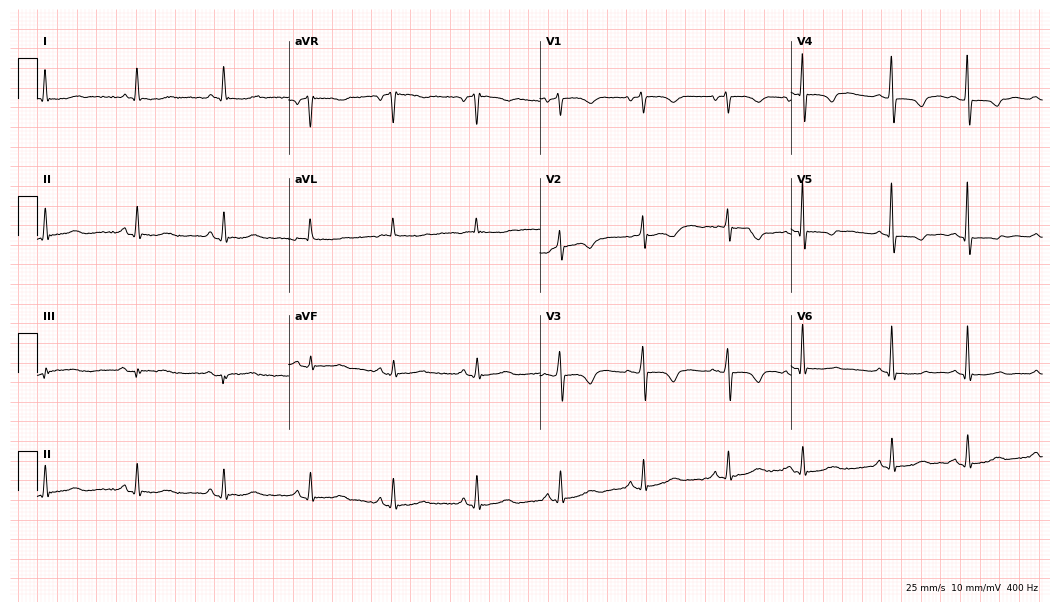
Standard 12-lead ECG recorded from a woman, 80 years old (10.2-second recording at 400 Hz). None of these six findings is recorded: first-degree AV block, right bundle branch block, left bundle branch block, sinus bradycardia, atrial fibrillation, sinus tachycardia.